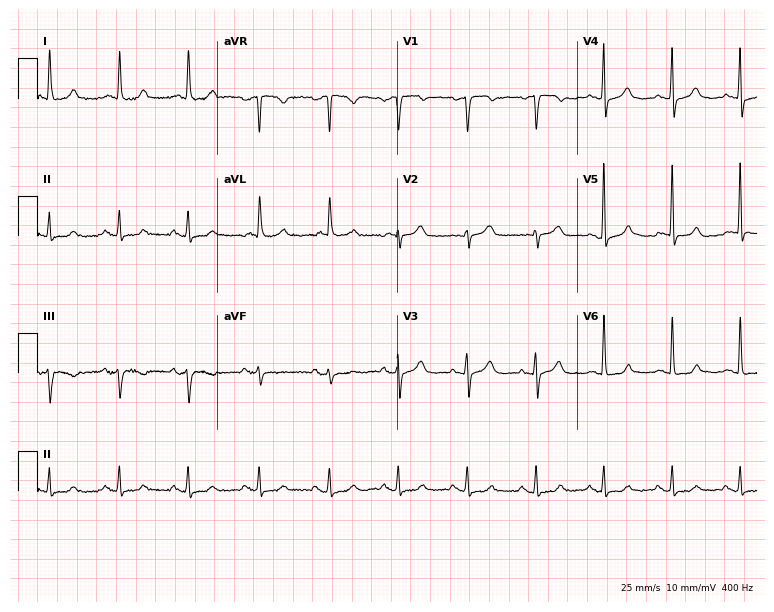
12-lead ECG from an 83-year-old female (7.3-second recording at 400 Hz). Recorded interpretation: within normal limits.